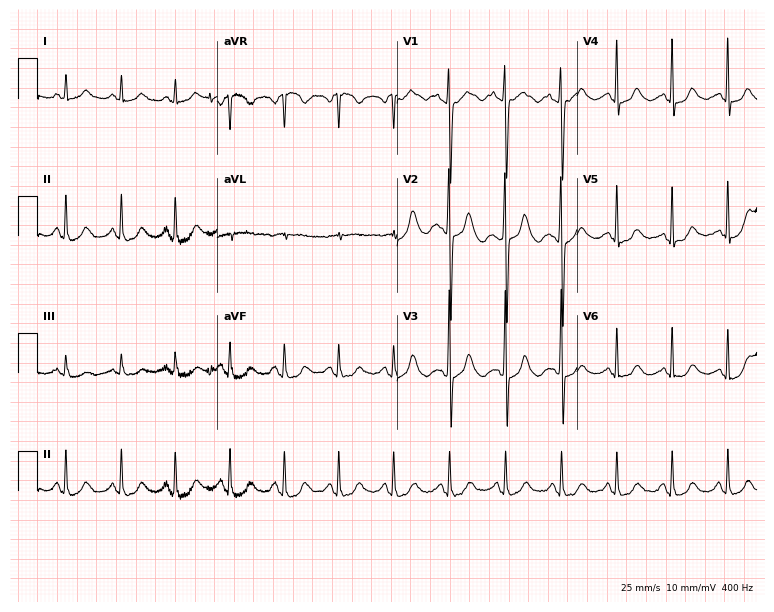
12-lead ECG from a female patient, 77 years old. Shows sinus tachycardia (a sinus rate of 100 beats per minute or more).